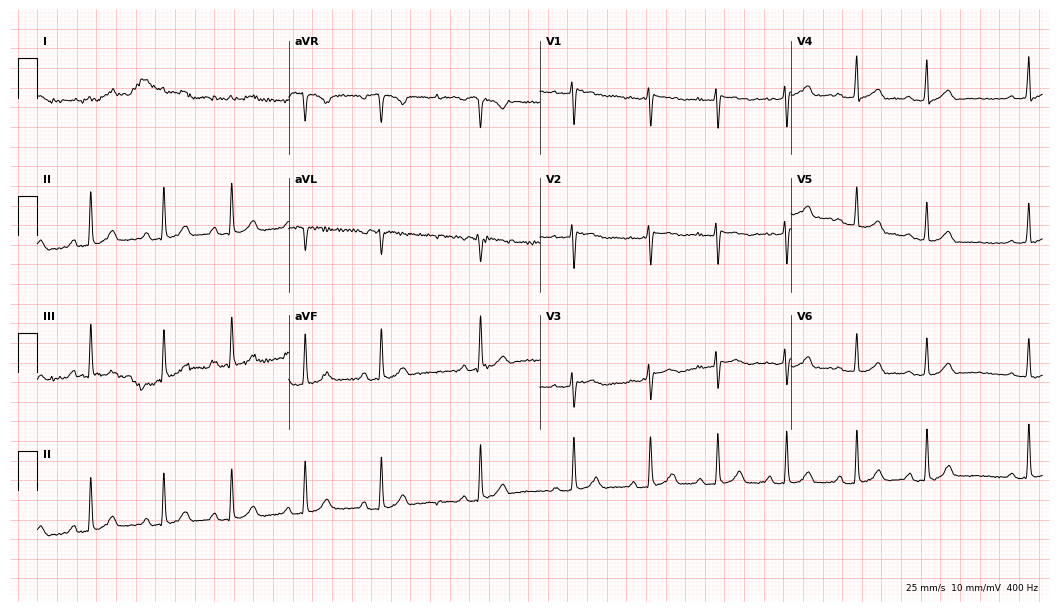
ECG (10.2-second recording at 400 Hz) — a female patient, 23 years old. Labelled as a normal ECG.